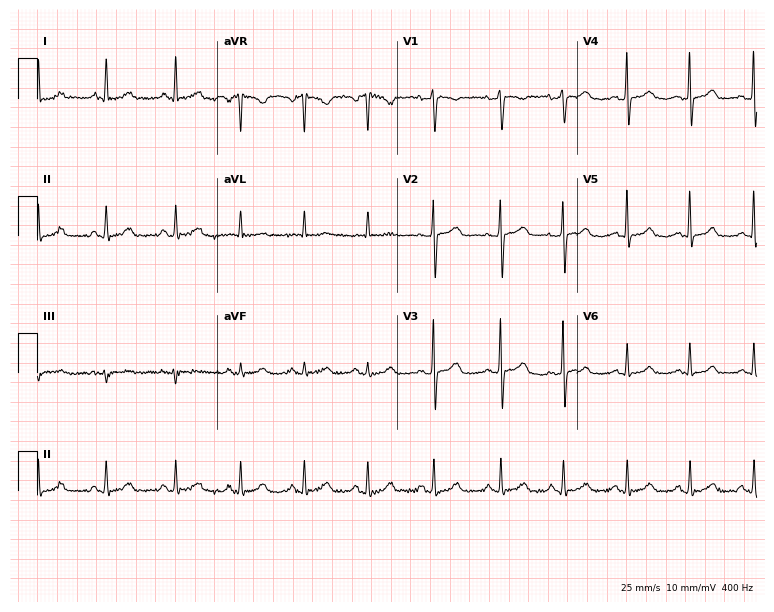
Resting 12-lead electrocardiogram. Patient: a female, 73 years old. Read as a normal ECG.